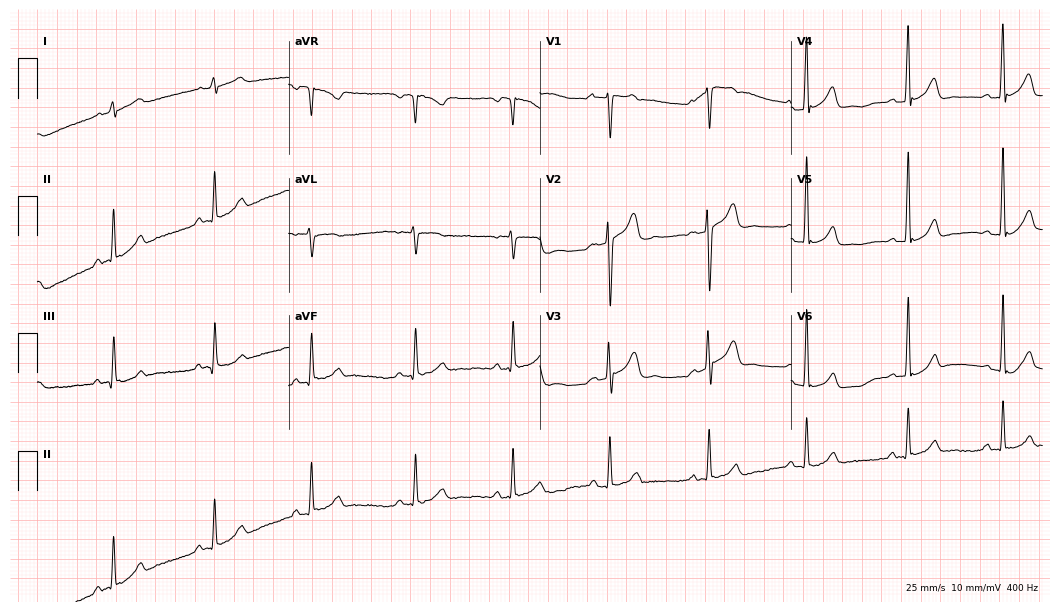
ECG (10.2-second recording at 400 Hz) — a male patient, 22 years old. Labelled as a normal ECG.